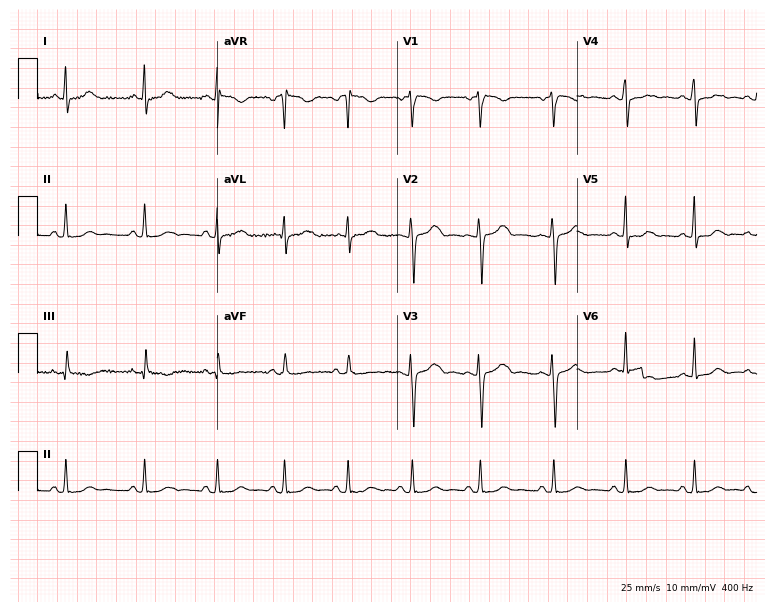
Electrocardiogram, a female patient, 37 years old. Overall reading on record: normal ECG.